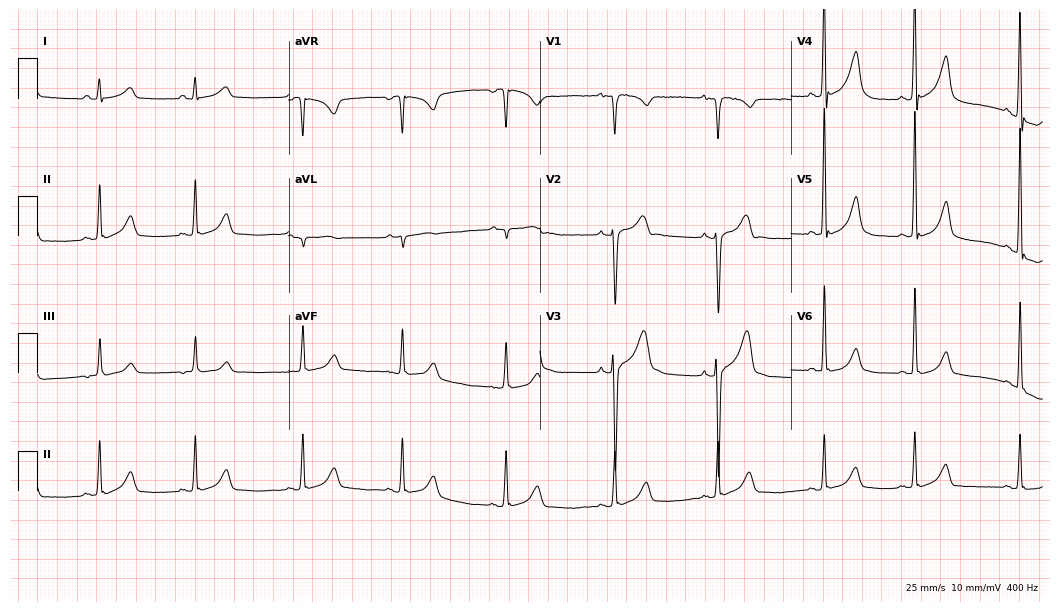
12-lead ECG (10.2-second recording at 400 Hz) from a male, 17 years old. Labelled as a normal ECG.